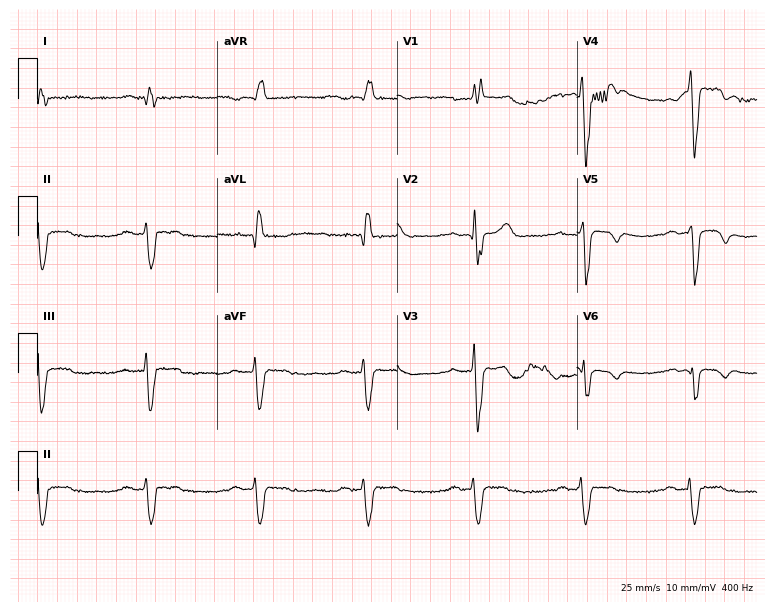
12-lead ECG (7.3-second recording at 400 Hz) from a man, 71 years old. Findings include first-degree AV block, right bundle branch block.